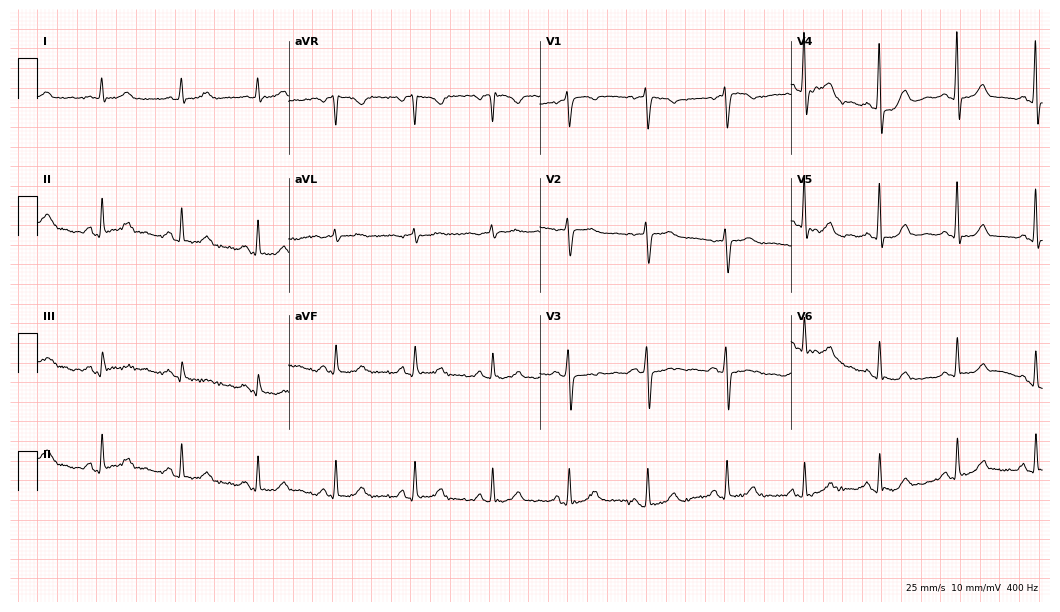
Electrocardiogram (10.2-second recording at 400 Hz), a 73-year-old female. Overall reading on record: normal ECG.